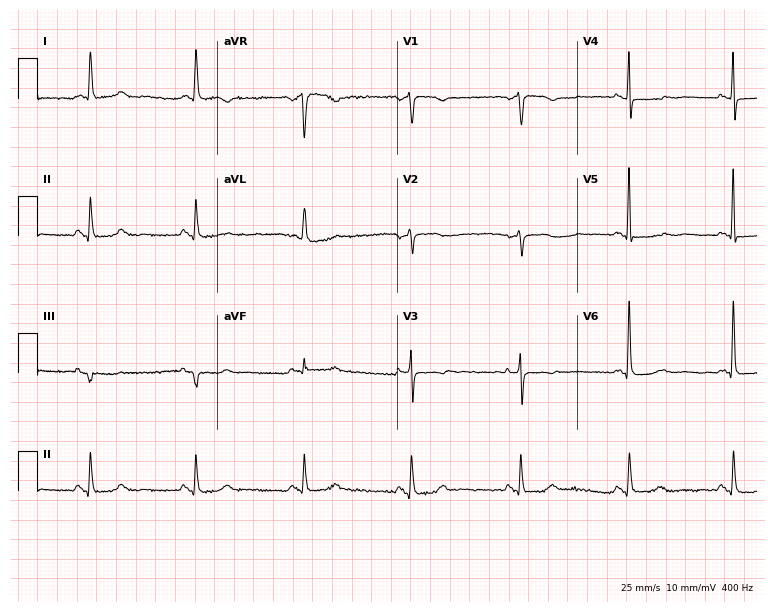
Resting 12-lead electrocardiogram (7.3-second recording at 400 Hz). Patient: an 87-year-old female. None of these six findings is recorded: first-degree AV block, right bundle branch block, left bundle branch block, sinus bradycardia, atrial fibrillation, sinus tachycardia.